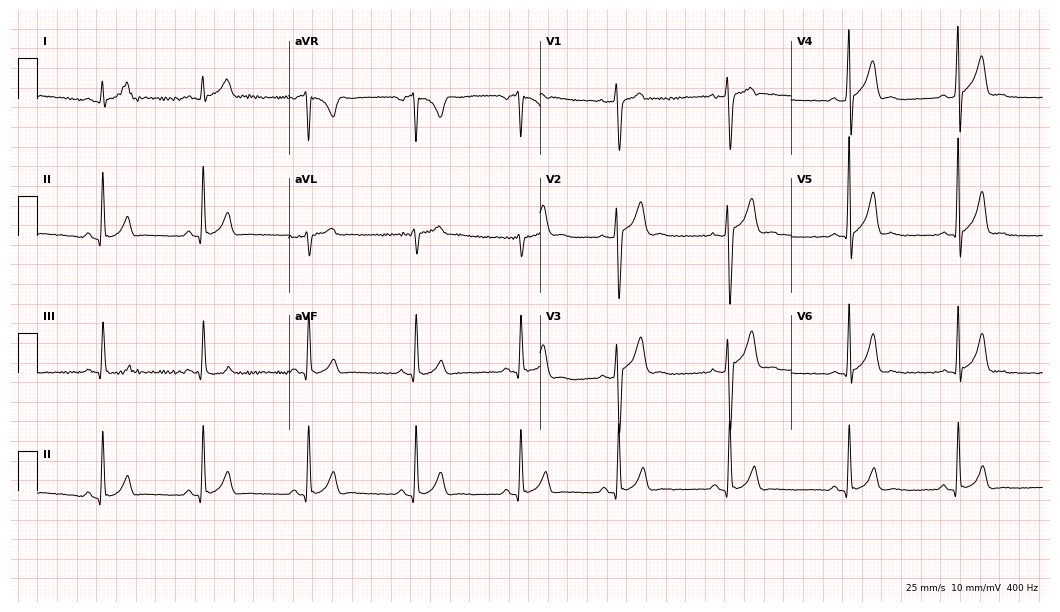
Electrocardiogram, a 17-year-old man. Overall reading on record: normal ECG.